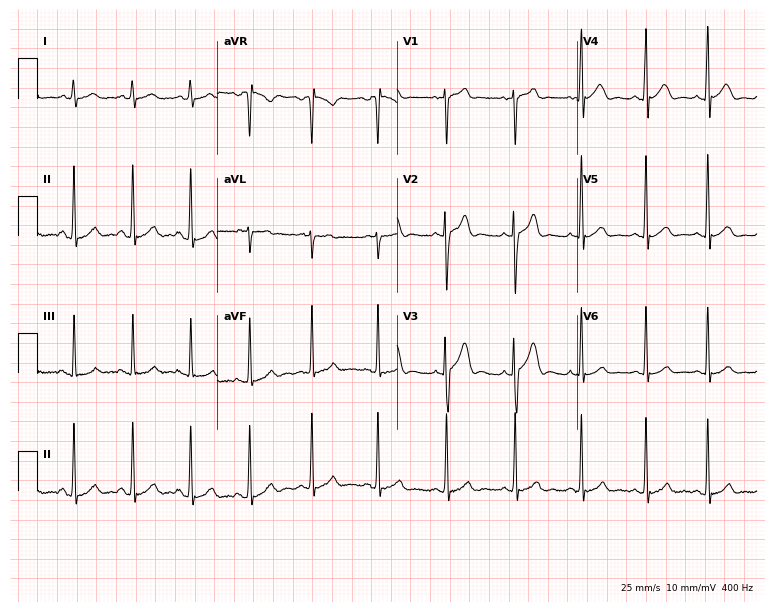
Resting 12-lead electrocardiogram. Patient: a male, 17 years old. Read as a normal ECG.